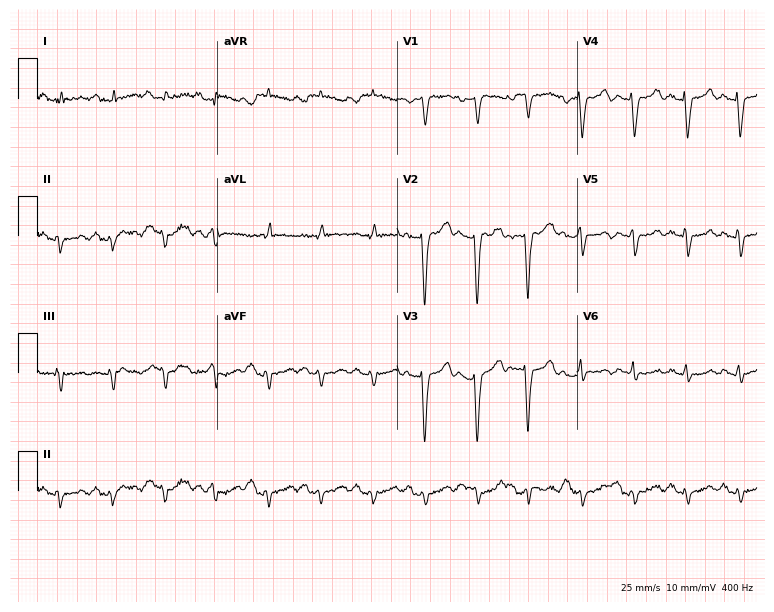
ECG (7.3-second recording at 400 Hz) — a female, 52 years old. Screened for six findings — first-degree AV block, right bundle branch block, left bundle branch block, sinus bradycardia, atrial fibrillation, sinus tachycardia — none is recorded. Only these six findings were labelled.